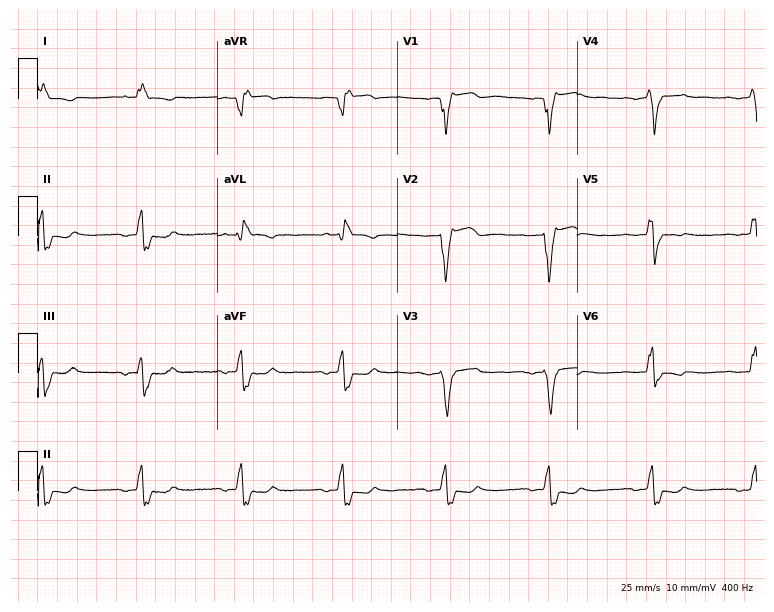
Standard 12-lead ECG recorded from a male patient, 84 years old. The tracing shows left bundle branch block (LBBB).